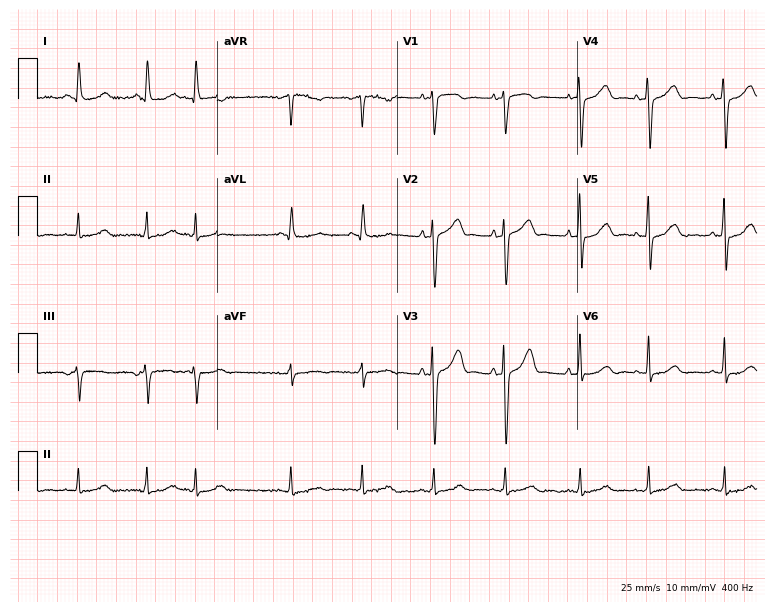
12-lead ECG from a 72-year-old male. Screened for six findings — first-degree AV block, right bundle branch block (RBBB), left bundle branch block (LBBB), sinus bradycardia, atrial fibrillation (AF), sinus tachycardia — none is recorded.